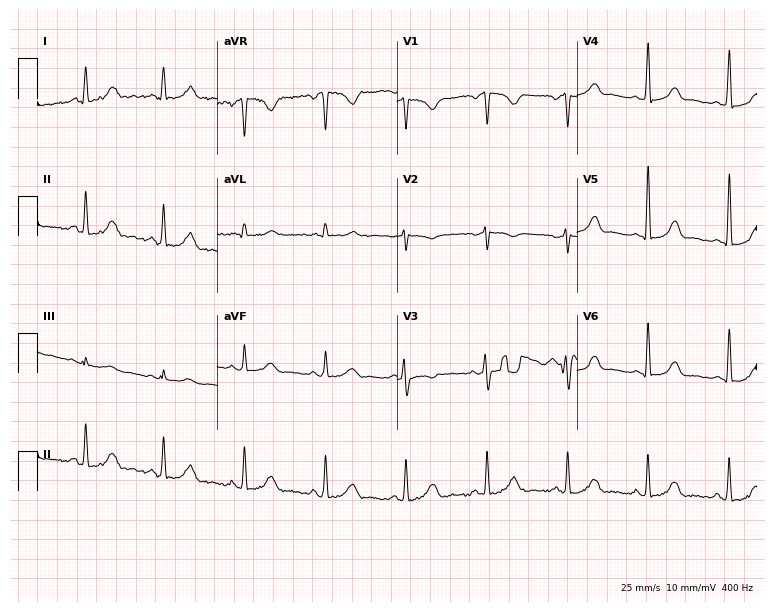
12-lead ECG from a female, 39 years old. No first-degree AV block, right bundle branch block, left bundle branch block, sinus bradycardia, atrial fibrillation or sinus tachycardia recorded for this tracing. Other findings, if any, are not listed.